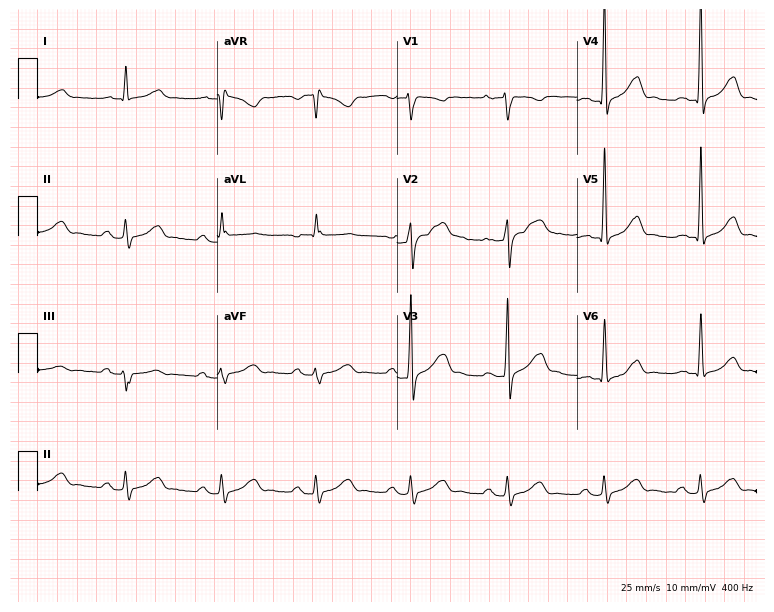
12-lead ECG from a male patient, 56 years old (7.3-second recording at 400 Hz). Shows first-degree AV block.